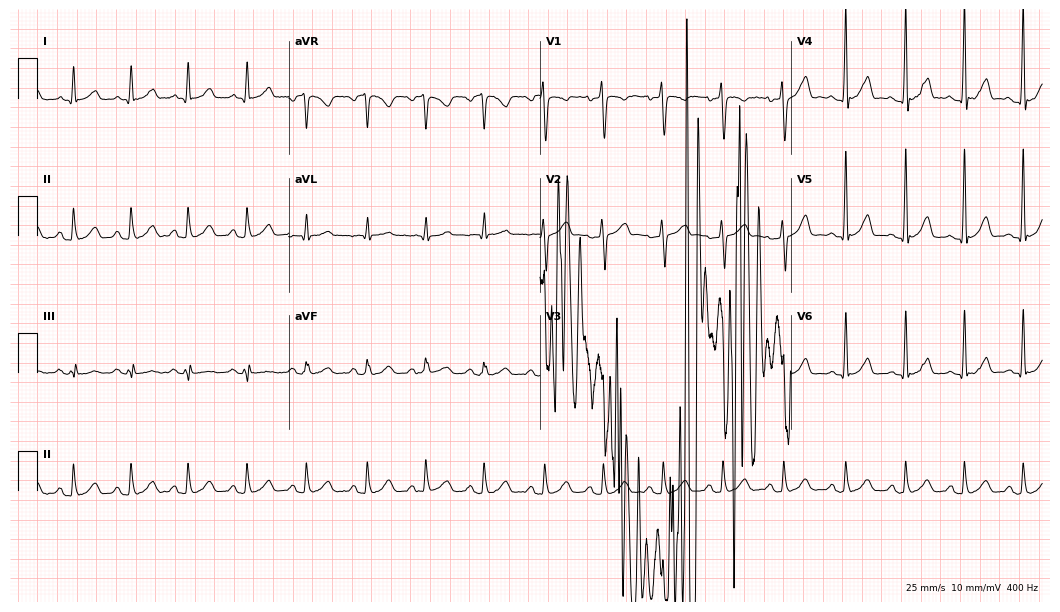
ECG — a 61-year-old male patient. Screened for six findings — first-degree AV block, right bundle branch block, left bundle branch block, sinus bradycardia, atrial fibrillation, sinus tachycardia — none is recorded. Only these six findings were labelled.